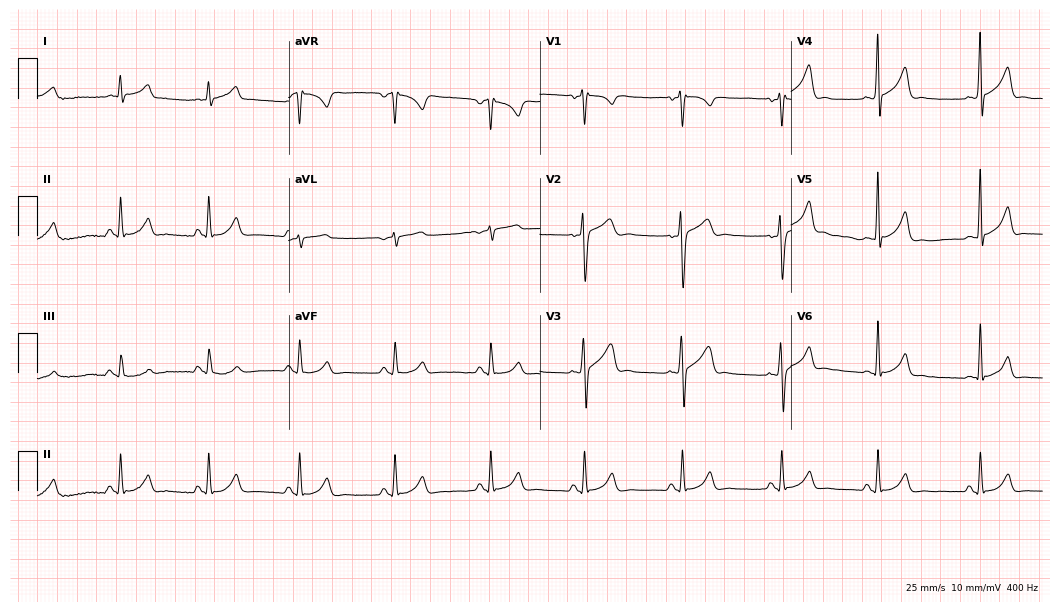
Resting 12-lead electrocardiogram (10.2-second recording at 400 Hz). Patient: a 17-year-old male. Read as a normal ECG.